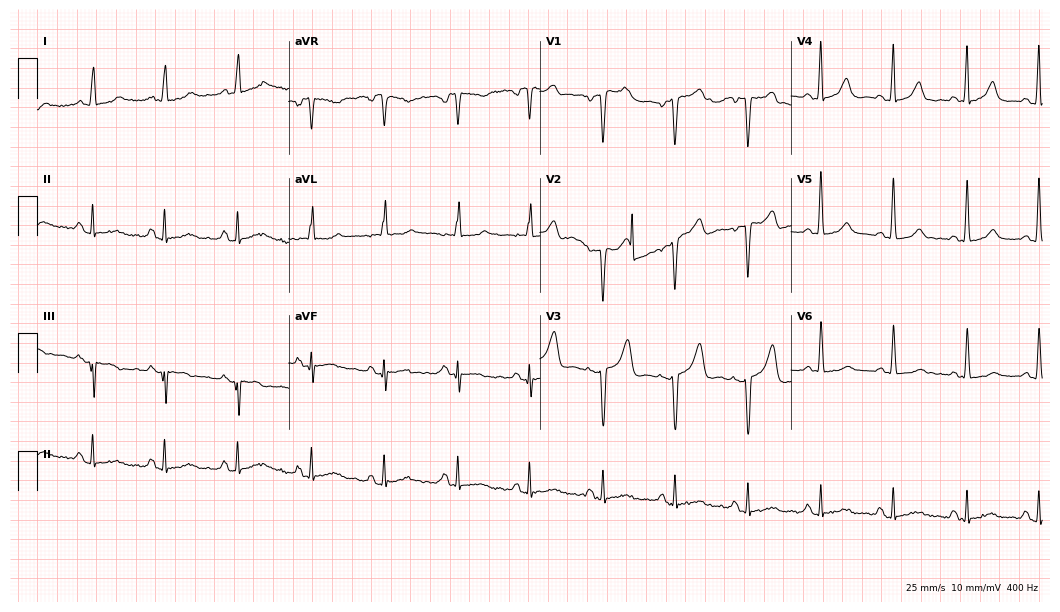
Resting 12-lead electrocardiogram (10.2-second recording at 400 Hz). Patient: a woman, 53 years old. None of these six findings is recorded: first-degree AV block, right bundle branch block, left bundle branch block, sinus bradycardia, atrial fibrillation, sinus tachycardia.